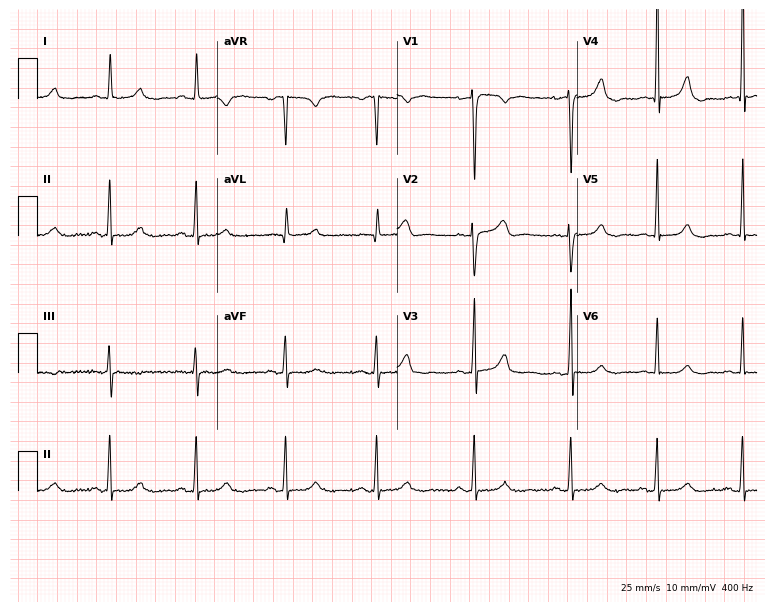
Electrocardiogram, a 33-year-old woman. Of the six screened findings (first-degree AV block, right bundle branch block (RBBB), left bundle branch block (LBBB), sinus bradycardia, atrial fibrillation (AF), sinus tachycardia), none is recorded.